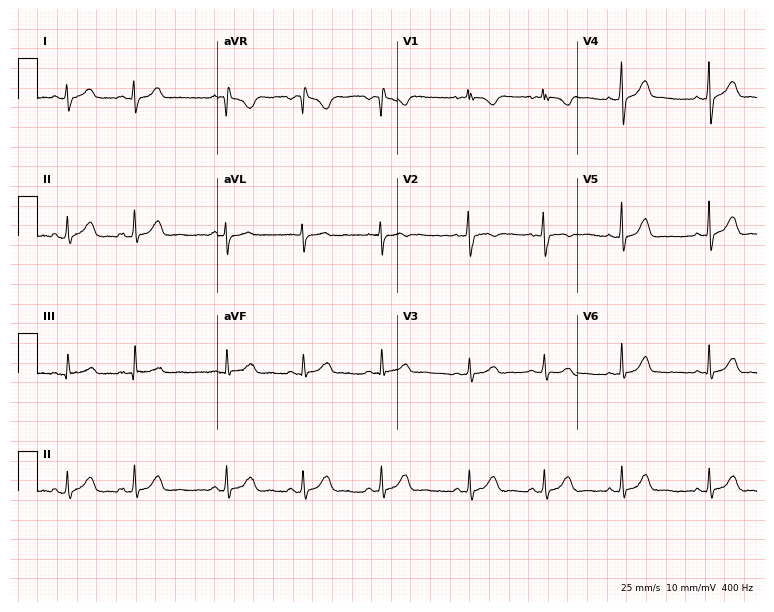
12-lead ECG from a female, 17 years old. Screened for six findings — first-degree AV block, right bundle branch block (RBBB), left bundle branch block (LBBB), sinus bradycardia, atrial fibrillation (AF), sinus tachycardia — none is recorded.